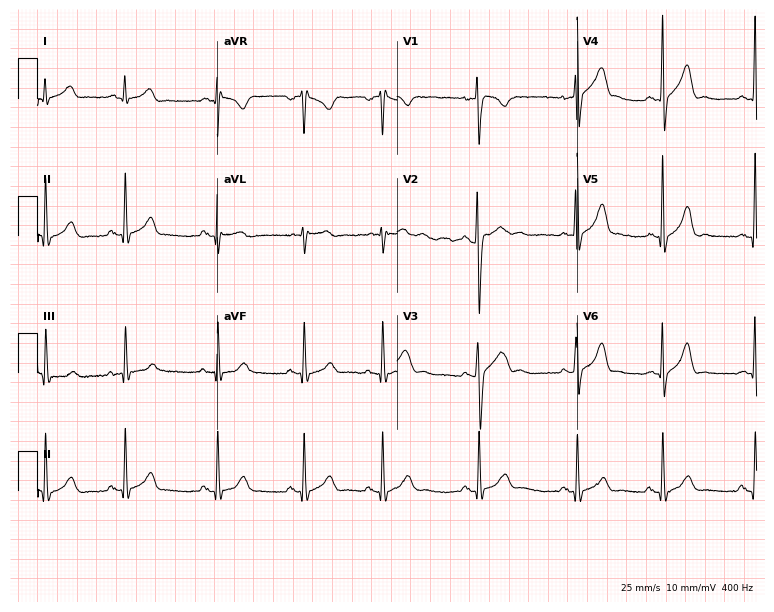
12-lead ECG from a 23-year-old male patient. Labelled as a normal ECG.